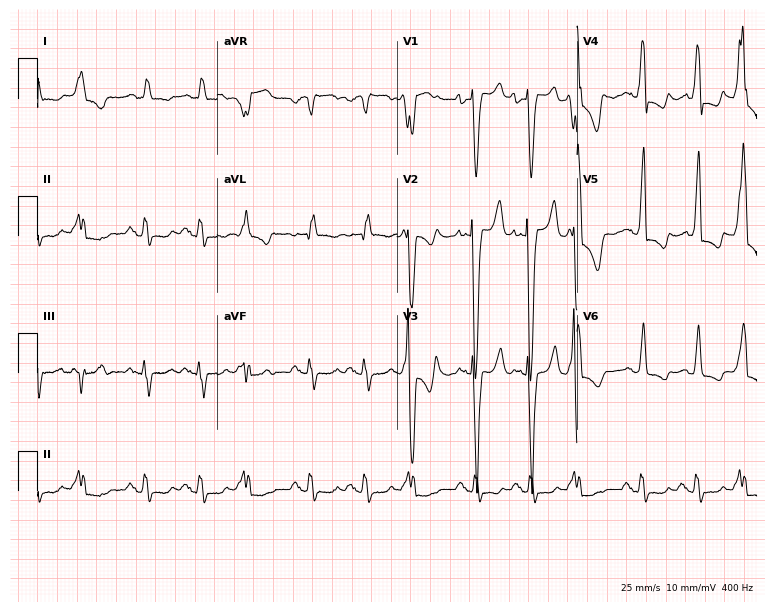
ECG — a female, 70 years old. Screened for six findings — first-degree AV block, right bundle branch block (RBBB), left bundle branch block (LBBB), sinus bradycardia, atrial fibrillation (AF), sinus tachycardia — none is recorded. Findings outside these six are not listed.